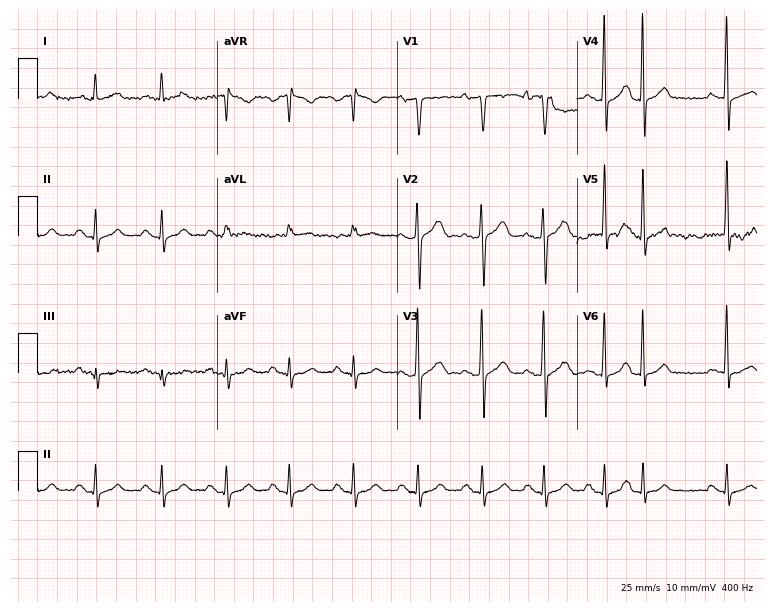
Electrocardiogram (7.3-second recording at 400 Hz), a man, 58 years old. Overall reading on record: normal ECG.